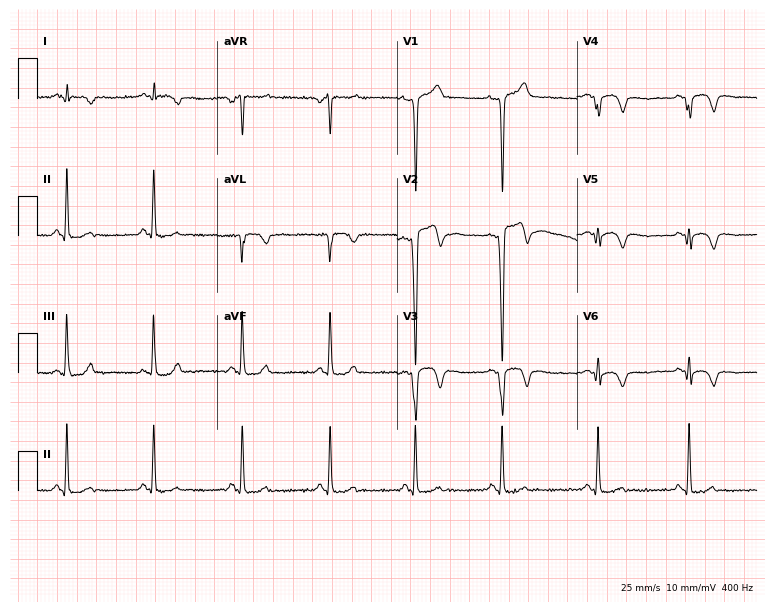
Resting 12-lead electrocardiogram. Patient: a 37-year-old male. None of these six findings is recorded: first-degree AV block, right bundle branch block (RBBB), left bundle branch block (LBBB), sinus bradycardia, atrial fibrillation (AF), sinus tachycardia. Only these six findings were labelled.